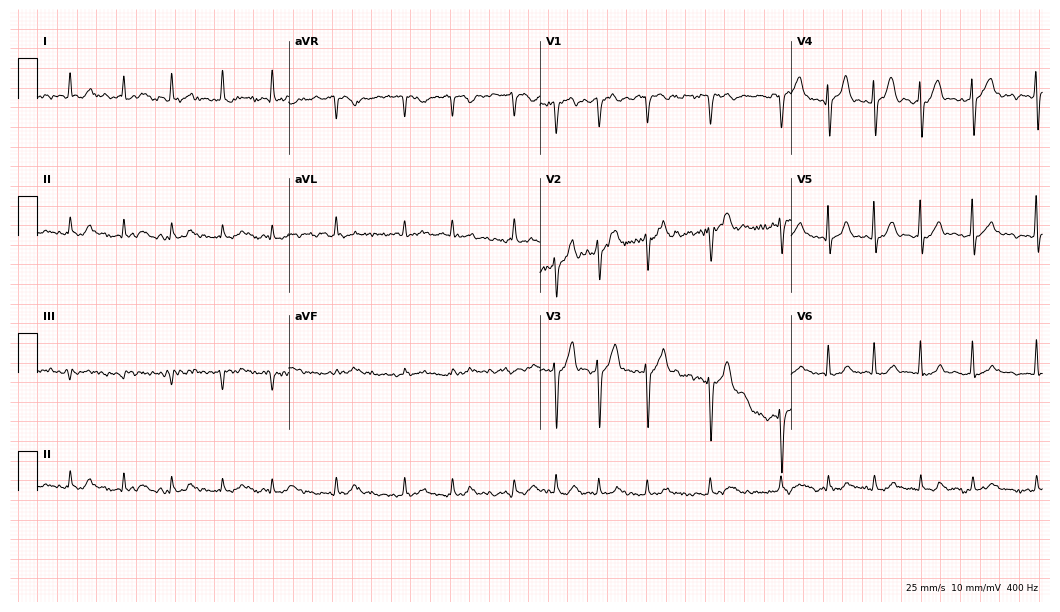
12-lead ECG from a 69-year-old man (10.2-second recording at 400 Hz). Shows atrial fibrillation (AF).